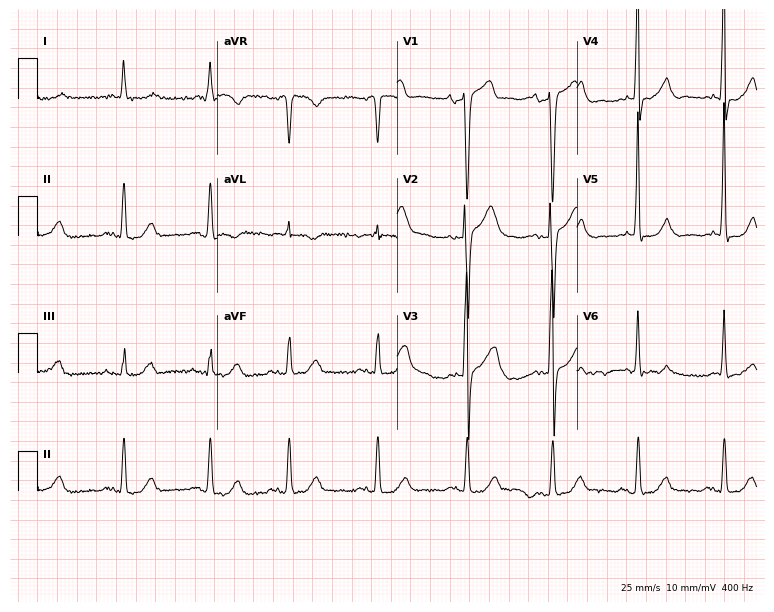
Resting 12-lead electrocardiogram. Patient: an 85-year-old male. Read as a normal ECG.